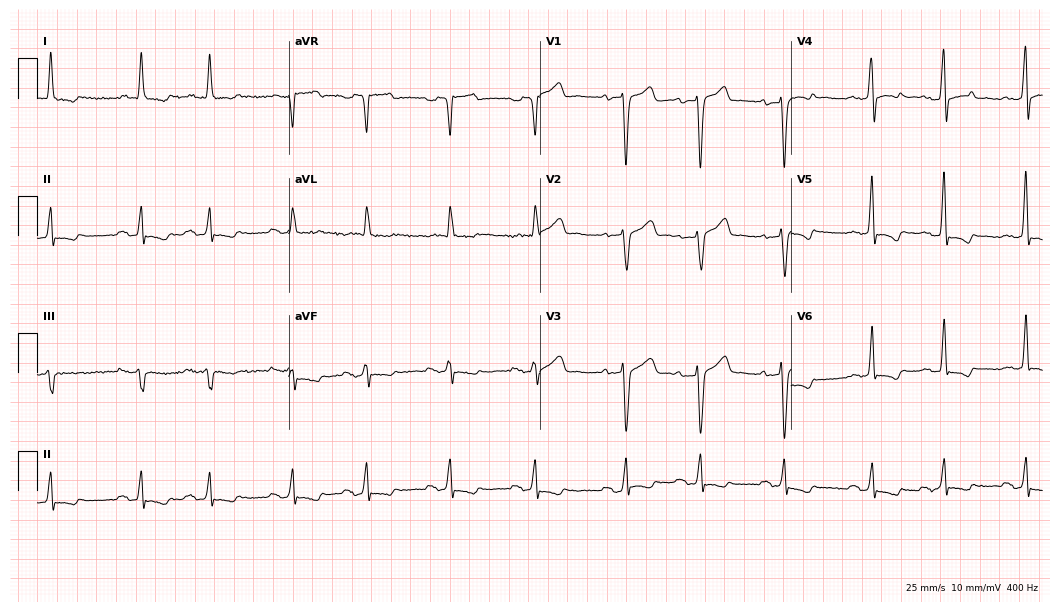
Resting 12-lead electrocardiogram (10.2-second recording at 400 Hz). Patient: a 58-year-old male. The tracing shows first-degree AV block.